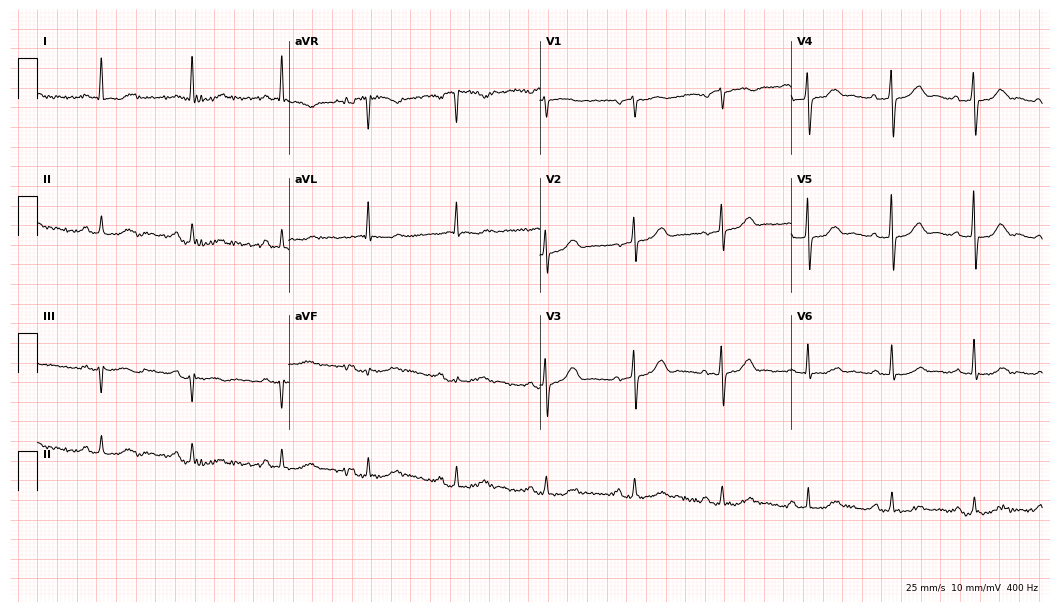
12-lead ECG (10.2-second recording at 400 Hz) from a female patient, 72 years old. Screened for six findings — first-degree AV block, right bundle branch block, left bundle branch block, sinus bradycardia, atrial fibrillation, sinus tachycardia — none is recorded. Only these six findings were labelled.